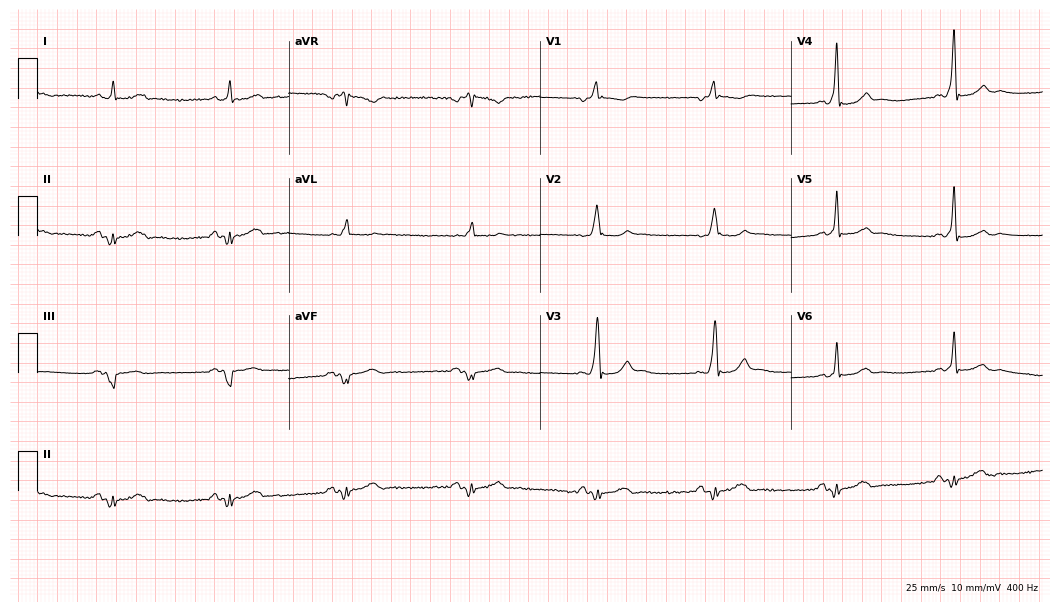
Resting 12-lead electrocardiogram. Patient: a male, 62 years old. None of these six findings is recorded: first-degree AV block, right bundle branch block, left bundle branch block, sinus bradycardia, atrial fibrillation, sinus tachycardia.